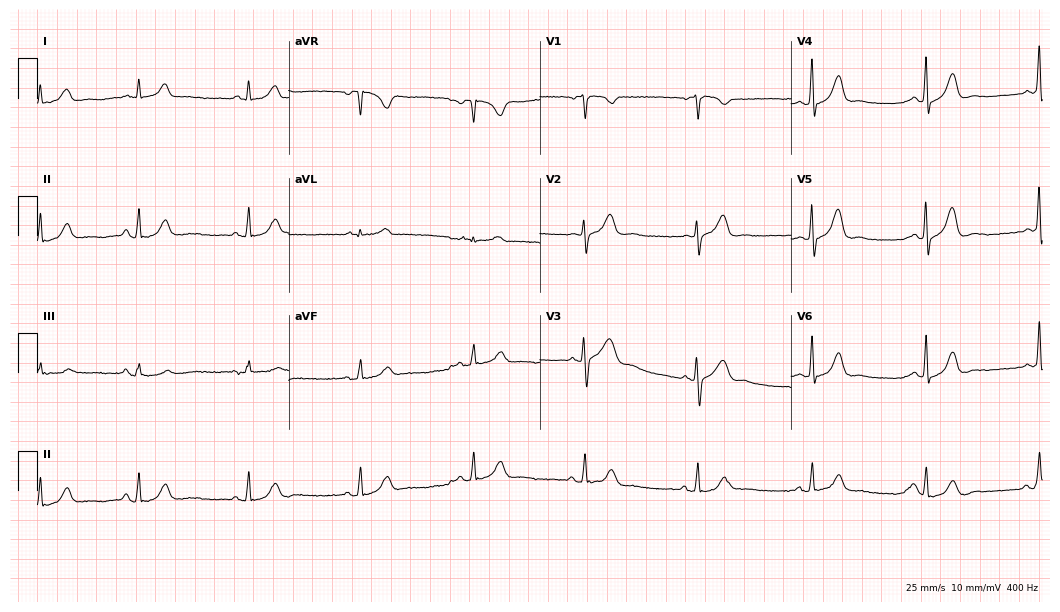
Electrocardiogram (10.2-second recording at 400 Hz), a female, 50 years old. Of the six screened findings (first-degree AV block, right bundle branch block, left bundle branch block, sinus bradycardia, atrial fibrillation, sinus tachycardia), none is recorded.